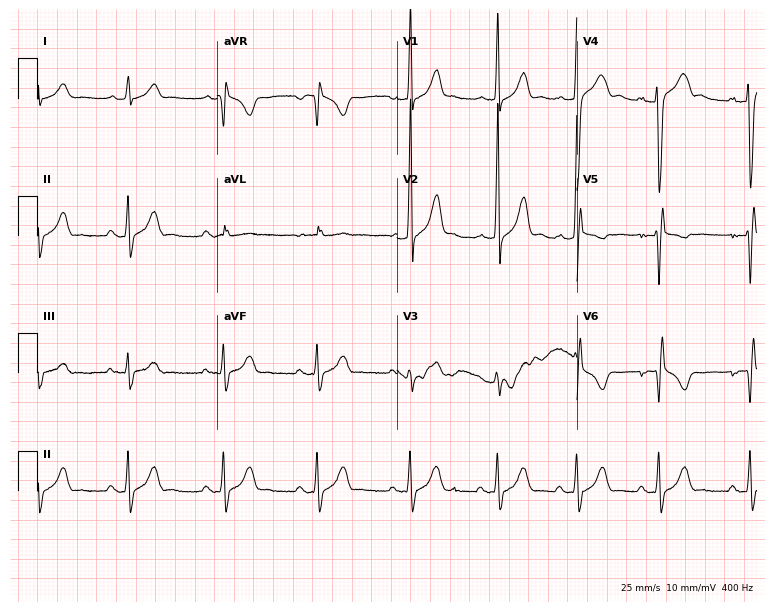
12-lead ECG from a 24-year-old man. No first-degree AV block, right bundle branch block (RBBB), left bundle branch block (LBBB), sinus bradycardia, atrial fibrillation (AF) or sinus tachycardia recorded for this tracing.